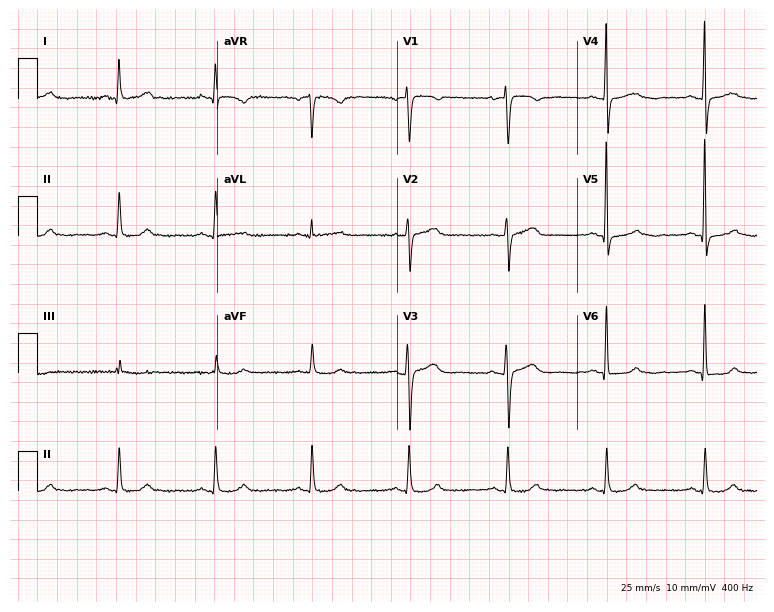
Standard 12-lead ECG recorded from a 61-year-old female (7.3-second recording at 400 Hz). Read as a normal ECG.